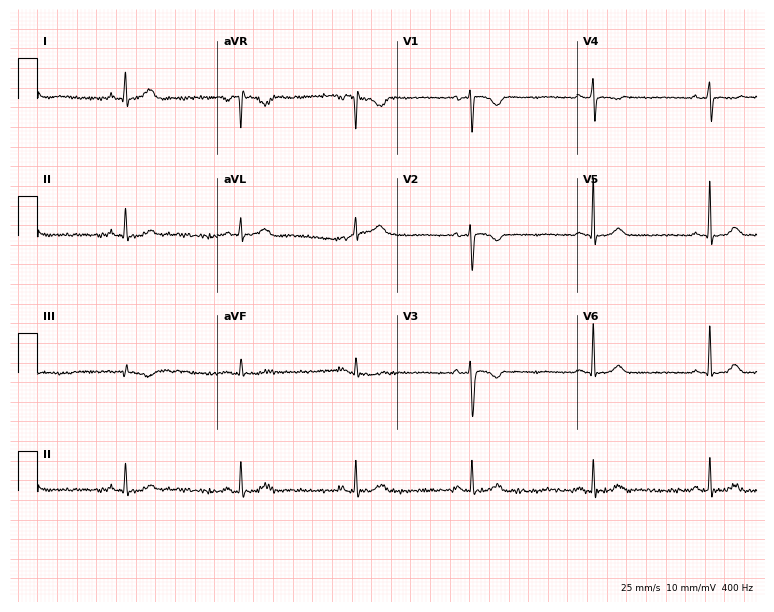
Electrocardiogram, a female patient, 31 years old. Of the six screened findings (first-degree AV block, right bundle branch block, left bundle branch block, sinus bradycardia, atrial fibrillation, sinus tachycardia), none is recorded.